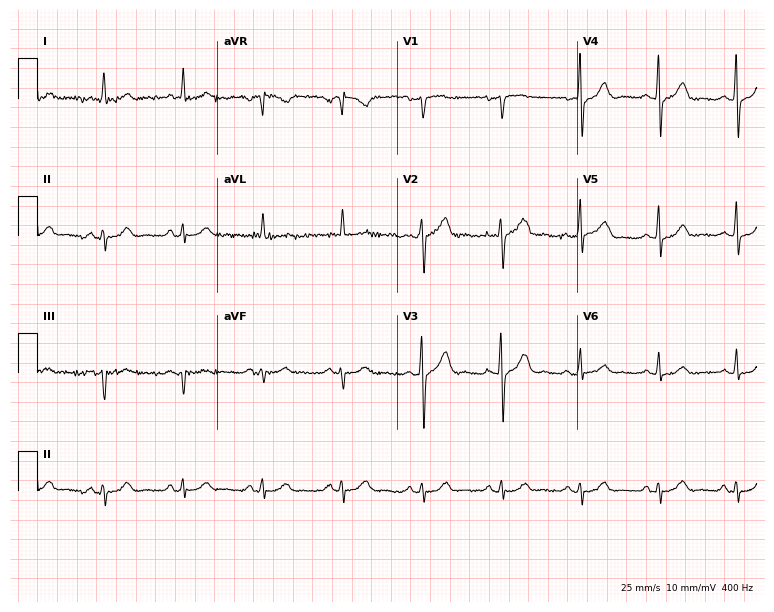
12-lead ECG from a 72-year-old man. No first-degree AV block, right bundle branch block, left bundle branch block, sinus bradycardia, atrial fibrillation or sinus tachycardia recorded for this tracing.